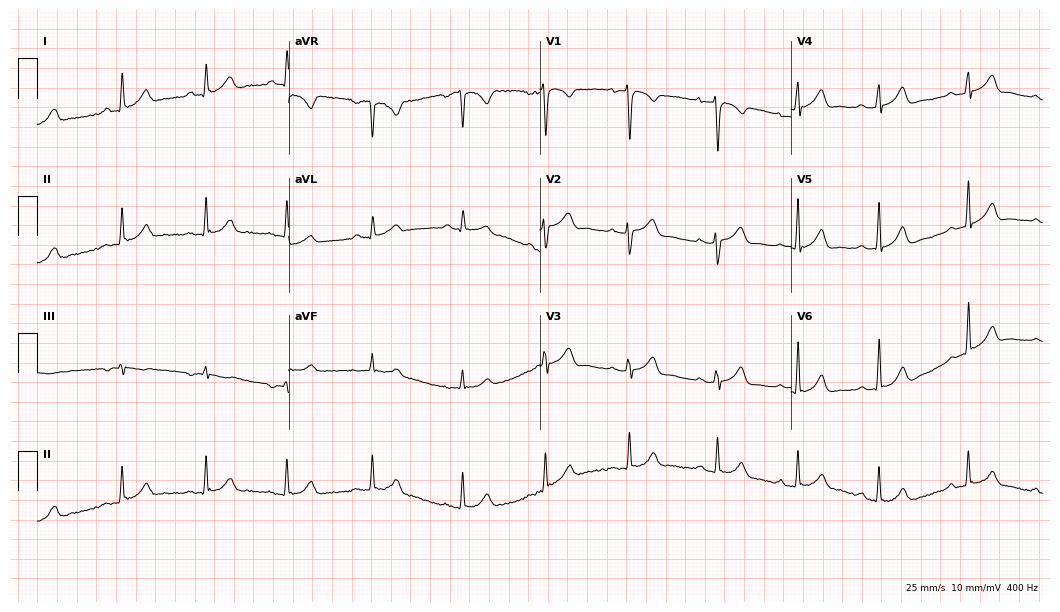
ECG — a 26-year-old woman. Labelled as a normal ECG.